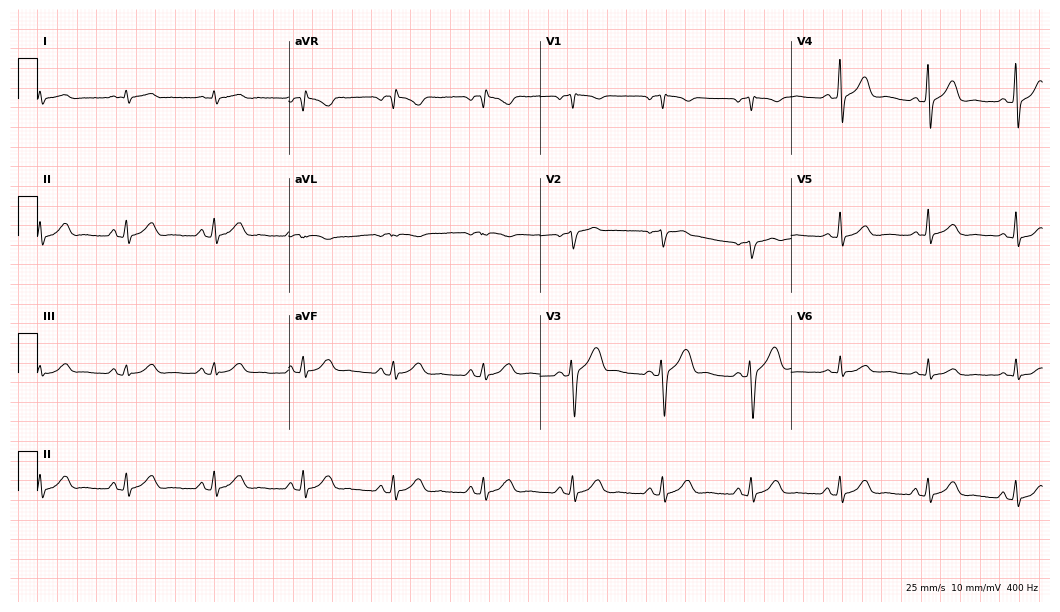
12-lead ECG from a male patient, 70 years old. Screened for six findings — first-degree AV block, right bundle branch block (RBBB), left bundle branch block (LBBB), sinus bradycardia, atrial fibrillation (AF), sinus tachycardia — none is recorded. Other findings, if any, are not listed.